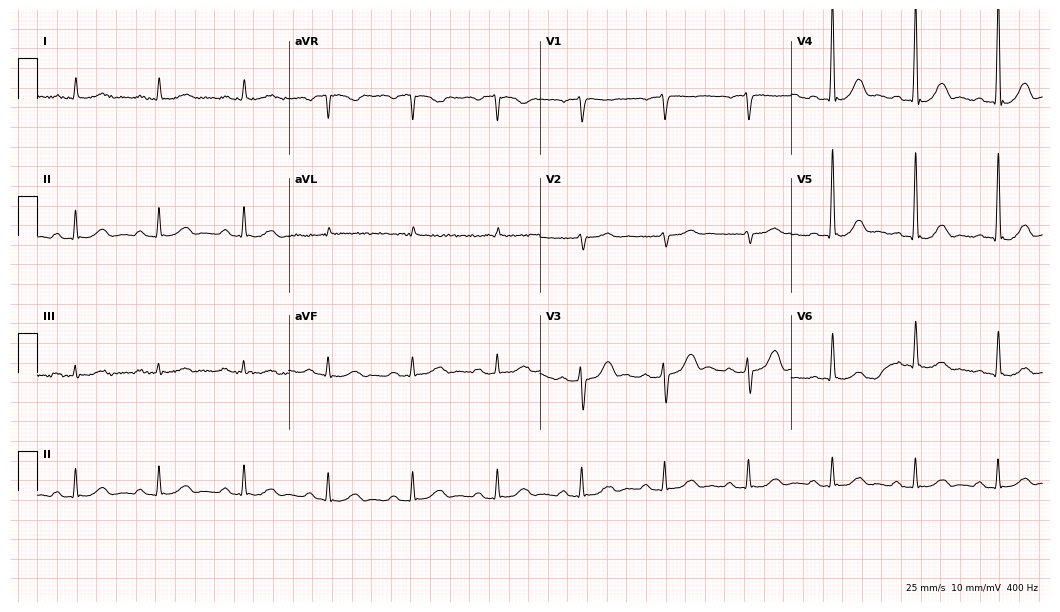
12-lead ECG from a male patient, 77 years old. Recorded interpretation: within normal limits.